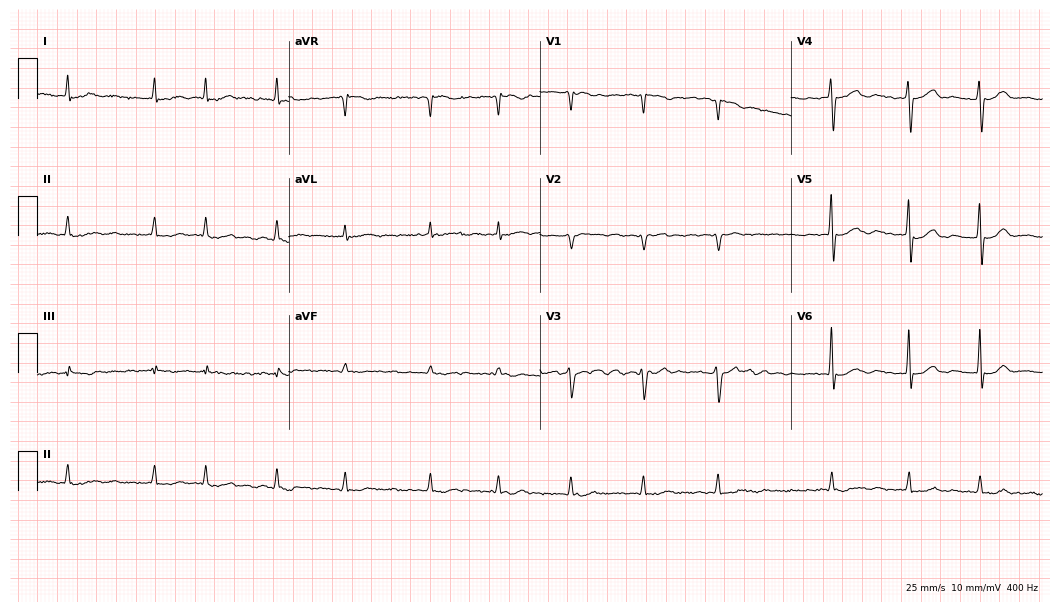
12-lead ECG from a woman, 74 years old. Shows atrial fibrillation.